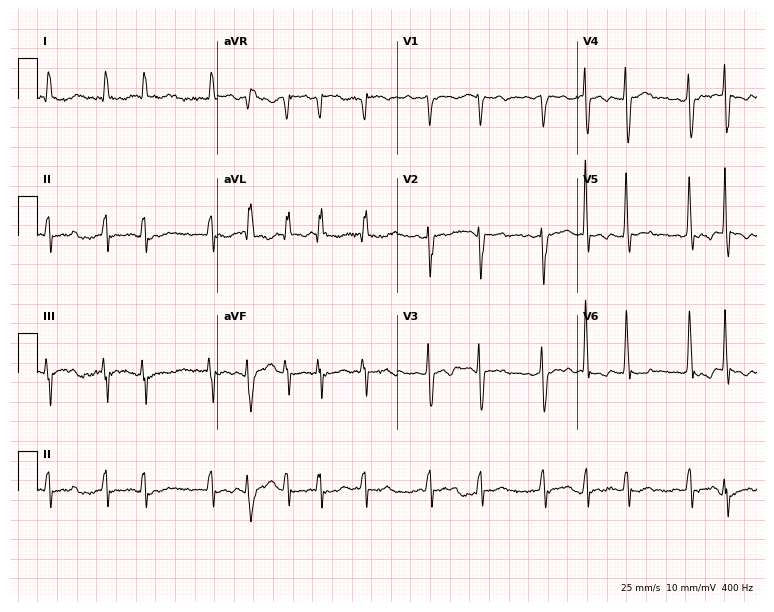
ECG — a woman, 54 years old. Findings include atrial fibrillation.